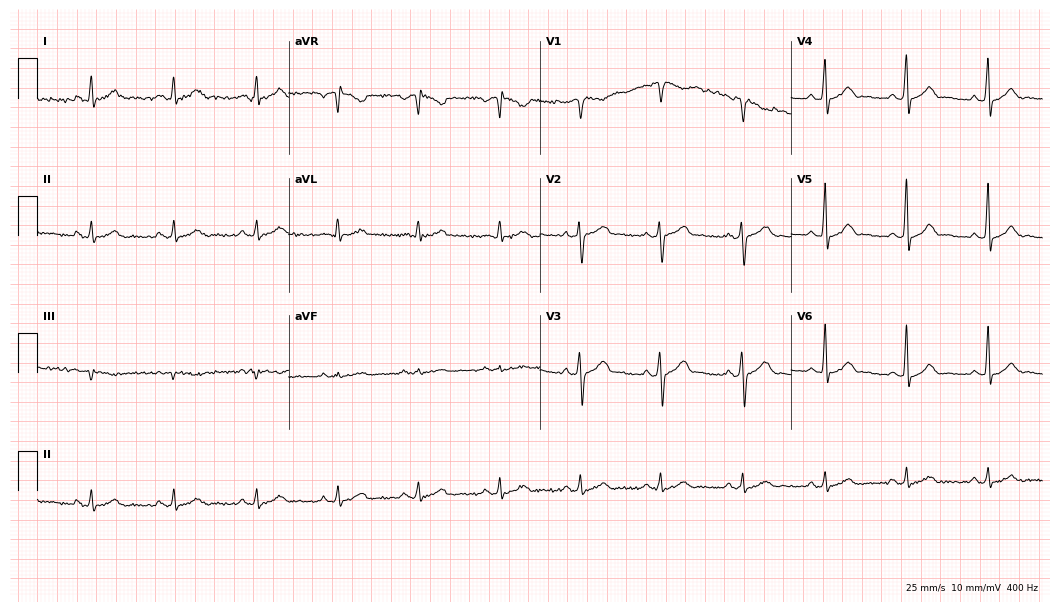
12-lead ECG from a 30-year-old male patient. Labelled as a normal ECG.